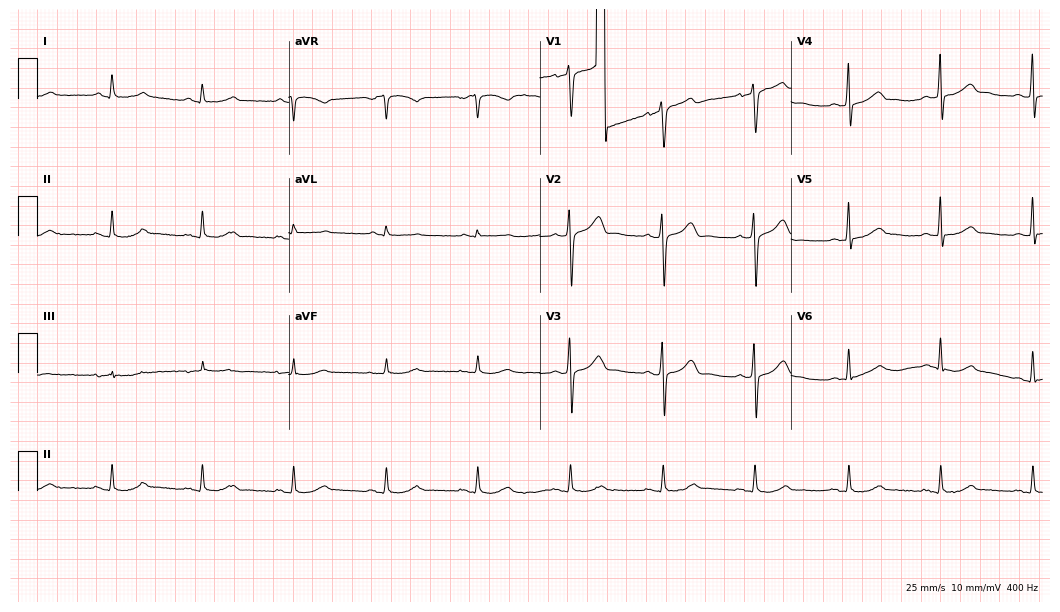
Standard 12-lead ECG recorded from a 52-year-old male patient (10.2-second recording at 400 Hz). None of these six findings is recorded: first-degree AV block, right bundle branch block, left bundle branch block, sinus bradycardia, atrial fibrillation, sinus tachycardia.